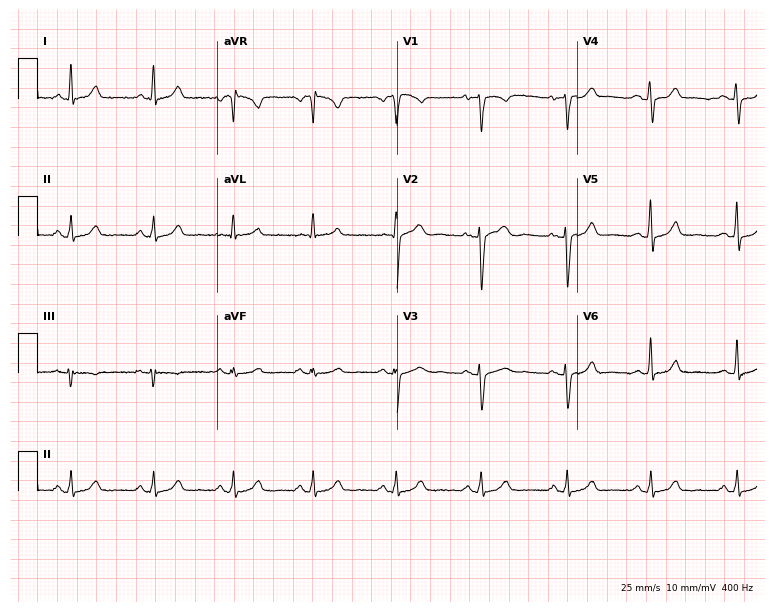
Electrocardiogram, a 40-year-old female patient. Overall reading on record: normal ECG.